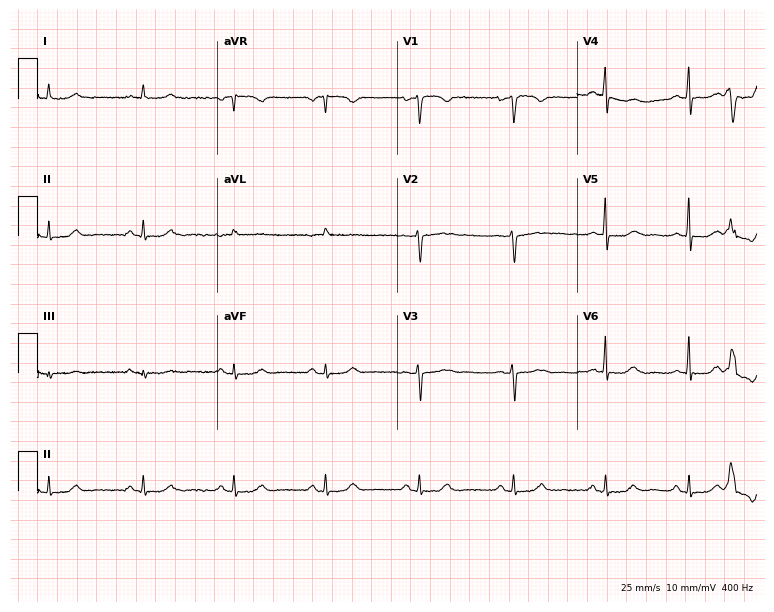
12-lead ECG from a female patient, 48 years old (7.3-second recording at 400 Hz). Recorded interpretation: within normal limits.